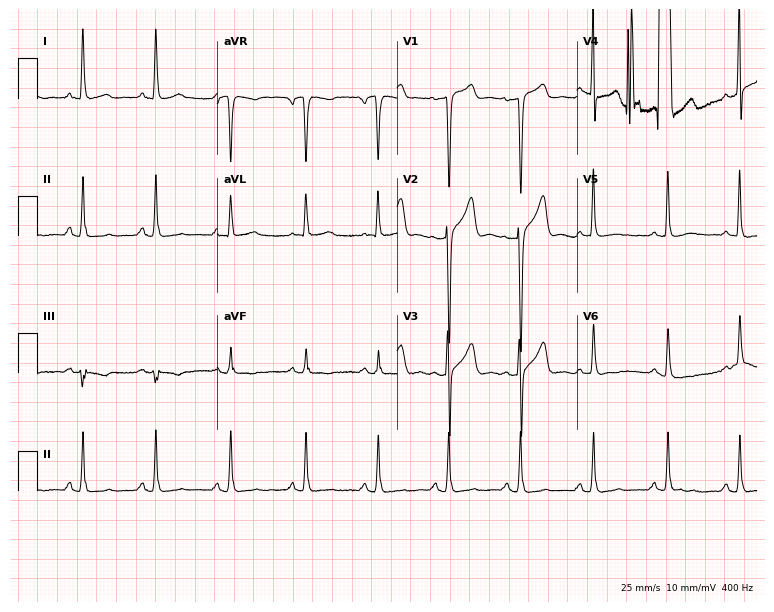
ECG (7.3-second recording at 400 Hz) — a 53-year-old female. Screened for six findings — first-degree AV block, right bundle branch block (RBBB), left bundle branch block (LBBB), sinus bradycardia, atrial fibrillation (AF), sinus tachycardia — none is recorded. Findings outside these six are not listed.